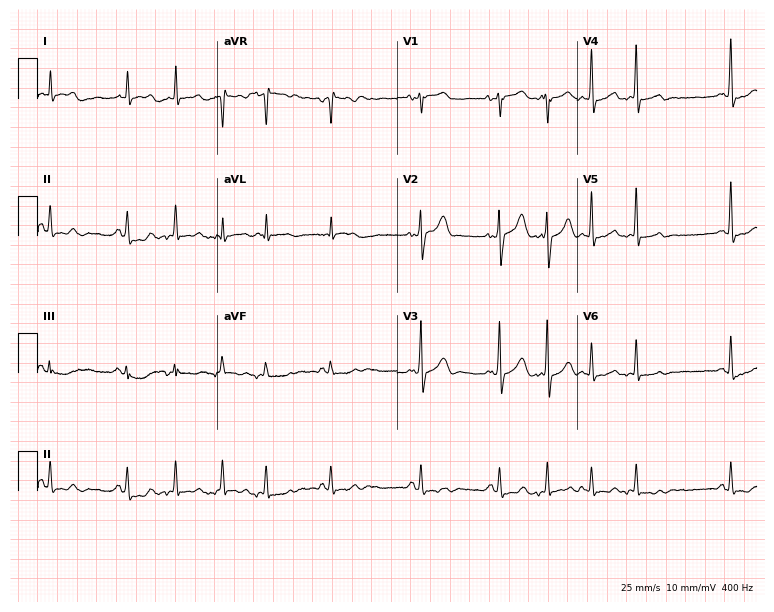
Standard 12-lead ECG recorded from a male, 64 years old. None of these six findings is recorded: first-degree AV block, right bundle branch block, left bundle branch block, sinus bradycardia, atrial fibrillation, sinus tachycardia.